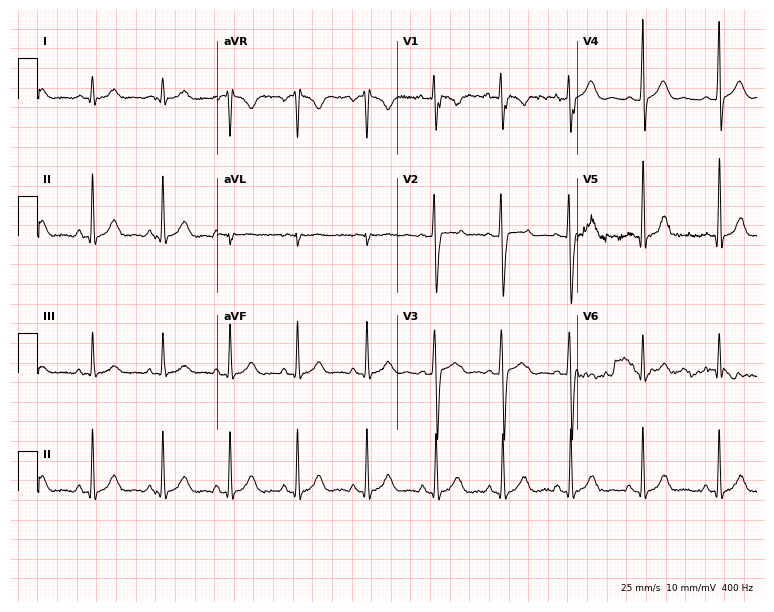
Standard 12-lead ECG recorded from a male patient, 17 years old (7.3-second recording at 400 Hz). Read as a normal ECG.